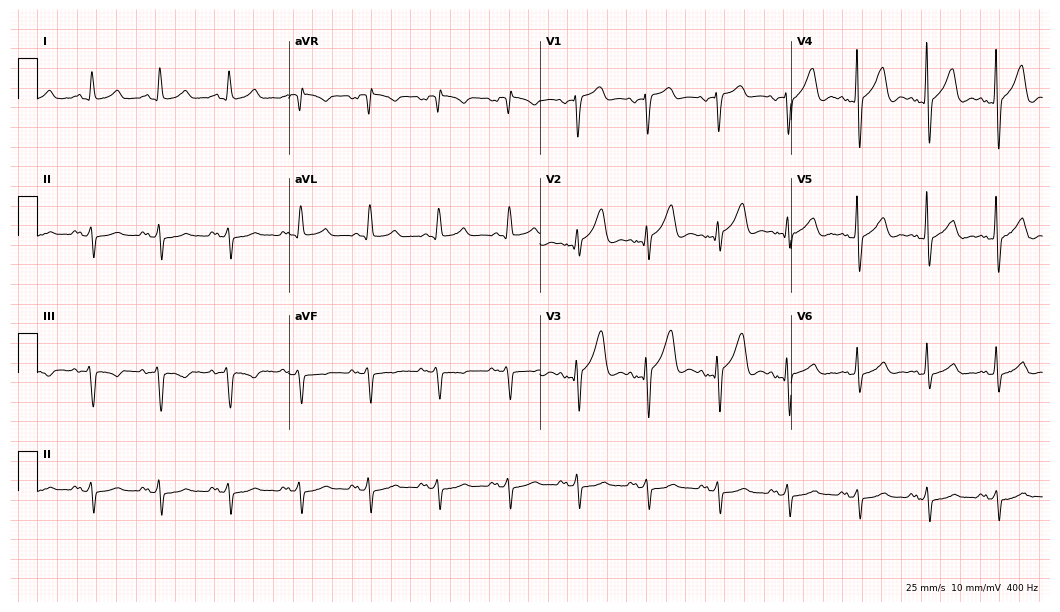
Resting 12-lead electrocardiogram. Patient: a man, 63 years old. None of these six findings is recorded: first-degree AV block, right bundle branch block (RBBB), left bundle branch block (LBBB), sinus bradycardia, atrial fibrillation (AF), sinus tachycardia.